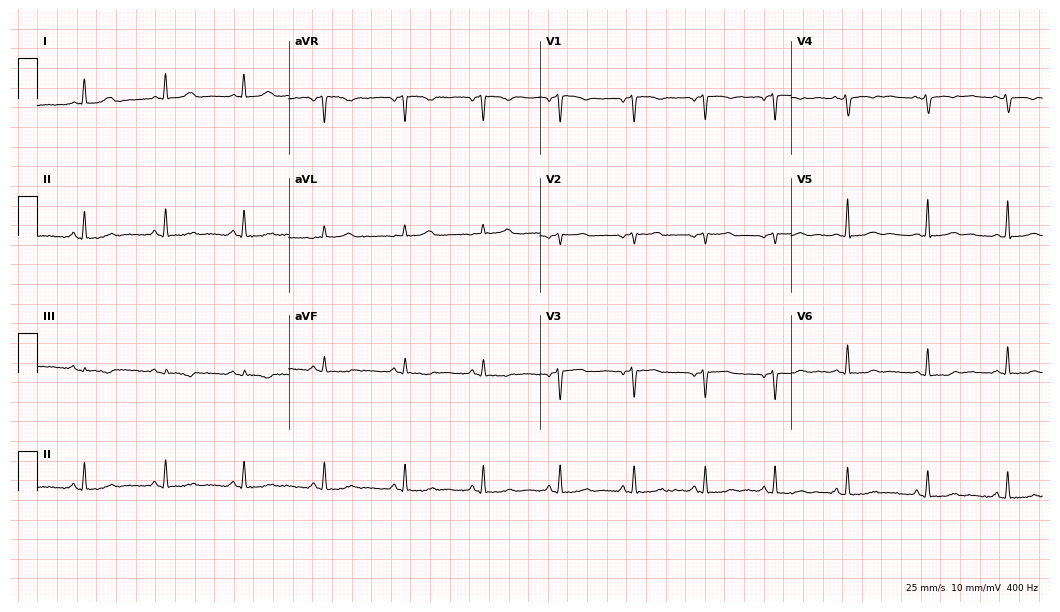
12-lead ECG from a 46-year-old woman. No first-degree AV block, right bundle branch block, left bundle branch block, sinus bradycardia, atrial fibrillation or sinus tachycardia recorded for this tracing.